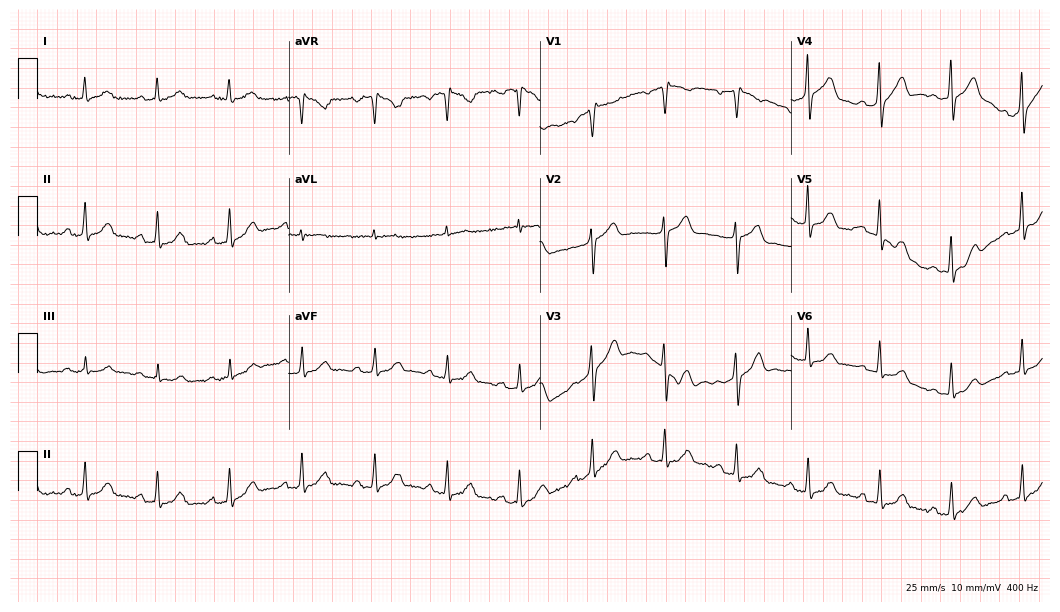
ECG (10.2-second recording at 400 Hz) — a male, 62 years old. Labelled as a normal ECG.